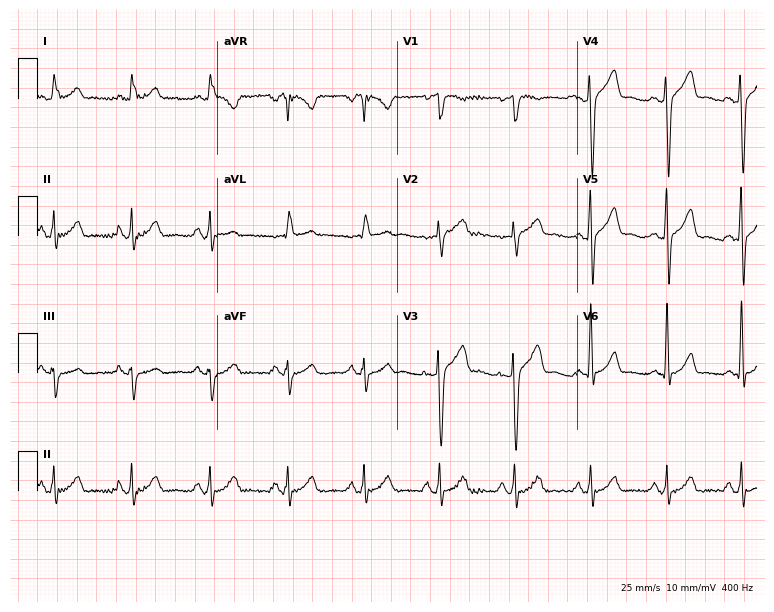
12-lead ECG (7.3-second recording at 400 Hz) from a man, 61 years old. Labelled as a normal ECG.